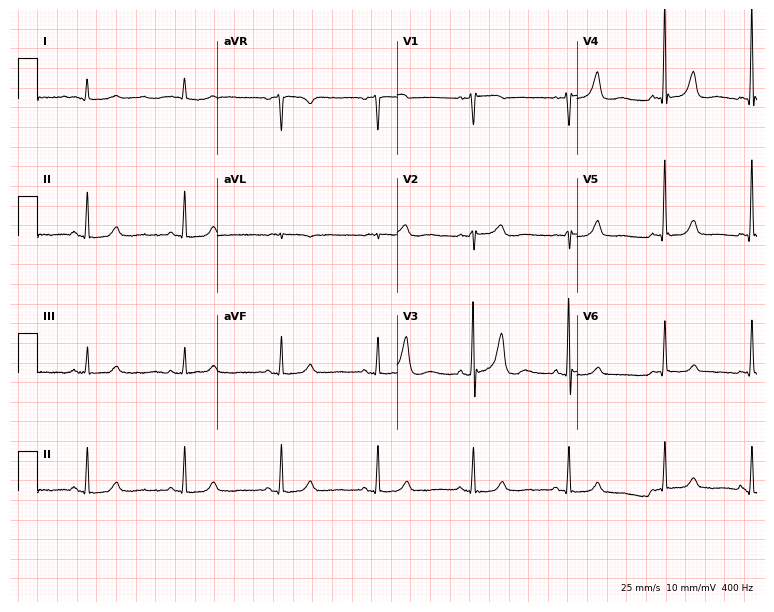
12-lead ECG (7.3-second recording at 400 Hz) from a 75-year-old female. Labelled as a normal ECG.